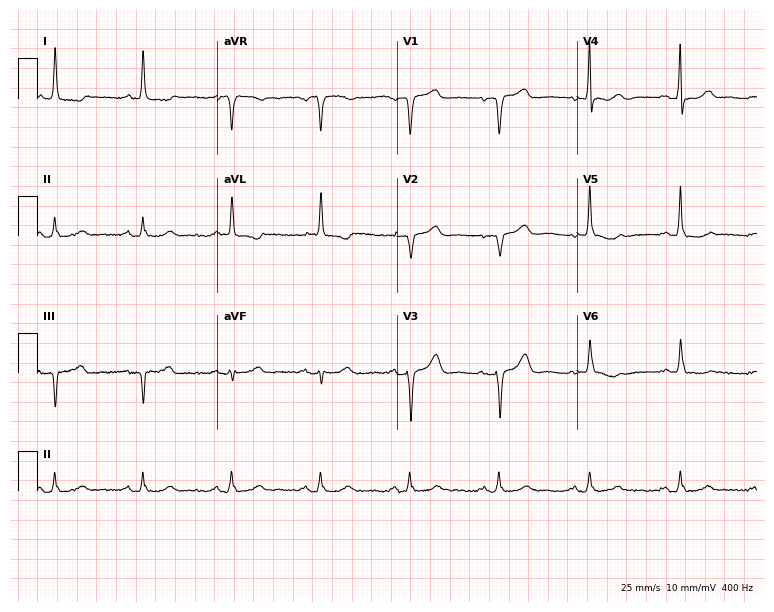
Resting 12-lead electrocardiogram (7.3-second recording at 400 Hz). Patient: a woman, 74 years old. None of these six findings is recorded: first-degree AV block, right bundle branch block, left bundle branch block, sinus bradycardia, atrial fibrillation, sinus tachycardia. Only these six findings were labelled.